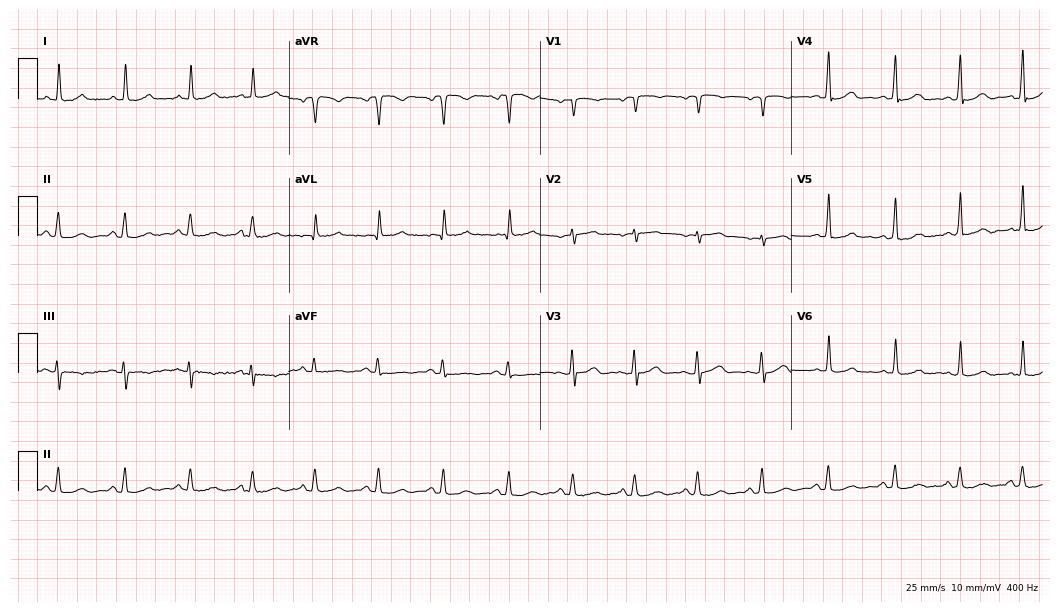
Standard 12-lead ECG recorded from a woman, 51 years old. Read as a normal ECG.